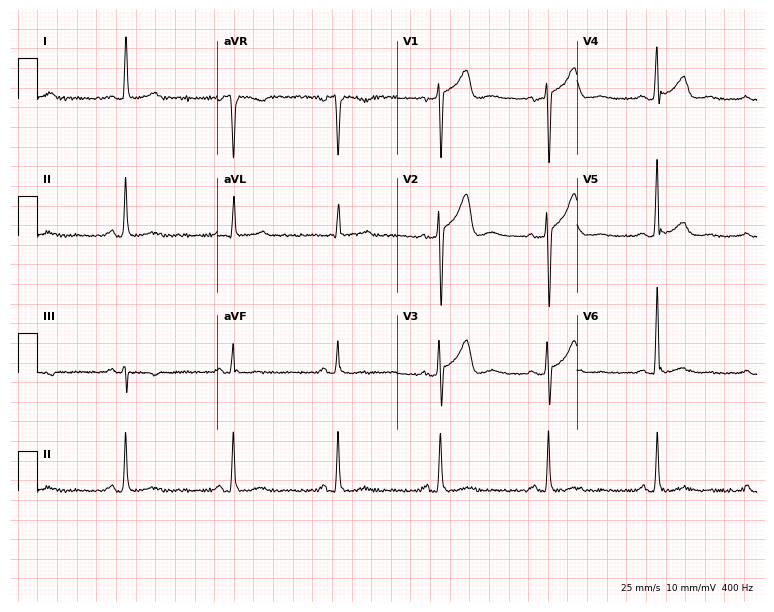
Standard 12-lead ECG recorded from a 60-year-old man (7.3-second recording at 400 Hz). Read as a normal ECG.